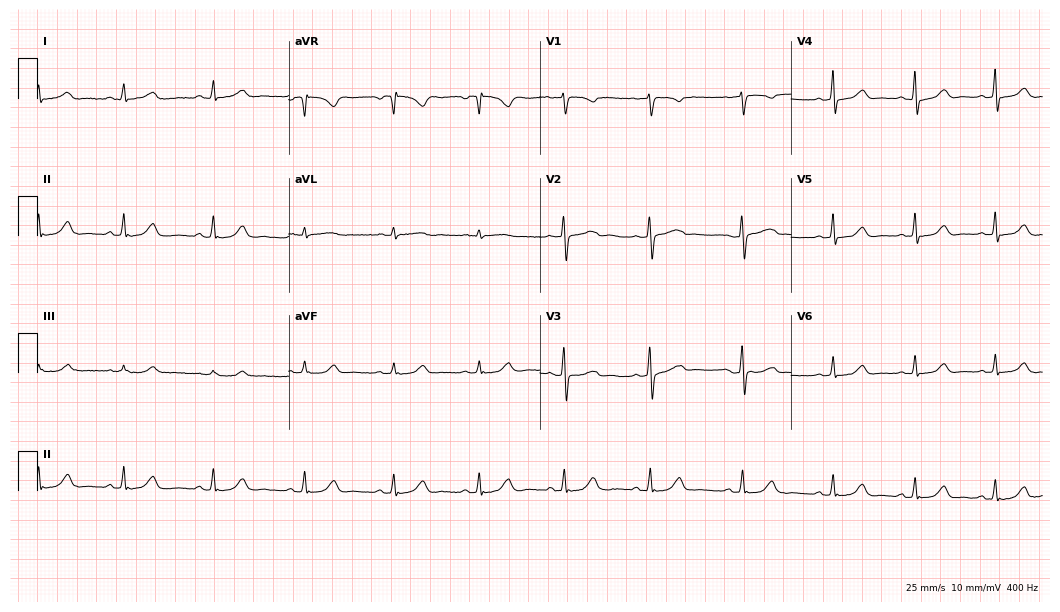
Resting 12-lead electrocardiogram. Patient: a woman, 39 years old. Read as a normal ECG.